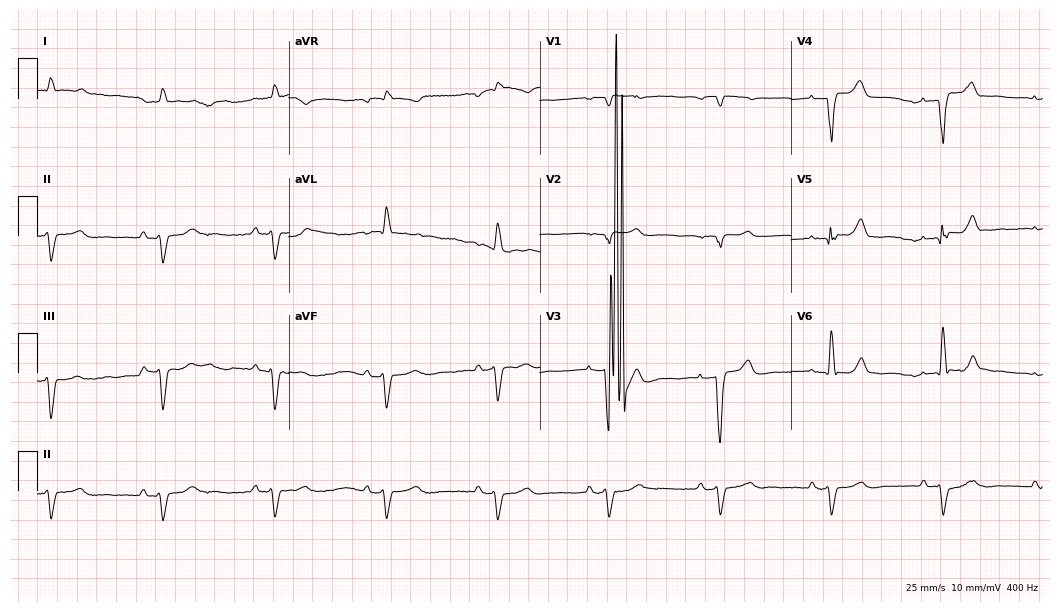
12-lead ECG from a 69-year-old male. No first-degree AV block, right bundle branch block, left bundle branch block, sinus bradycardia, atrial fibrillation or sinus tachycardia recorded for this tracing. Only these six findings were labelled.